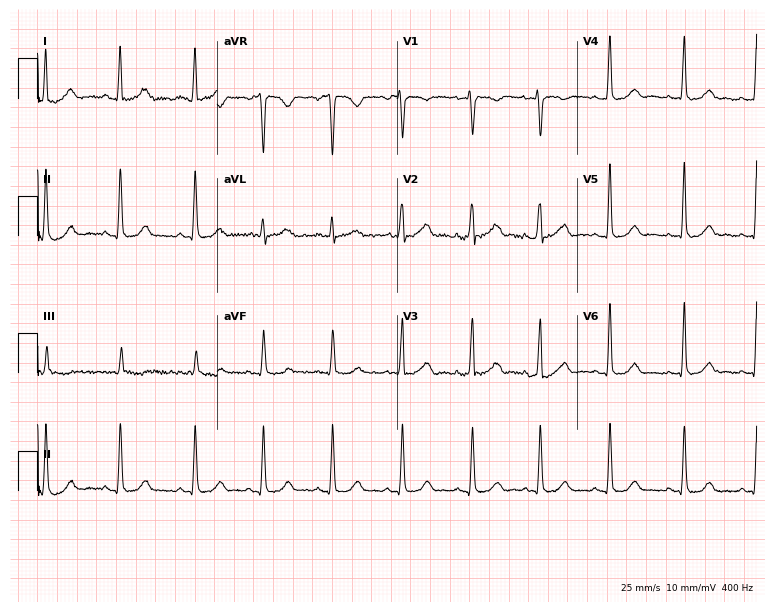
ECG — a 31-year-old woman. Labelled as a normal ECG.